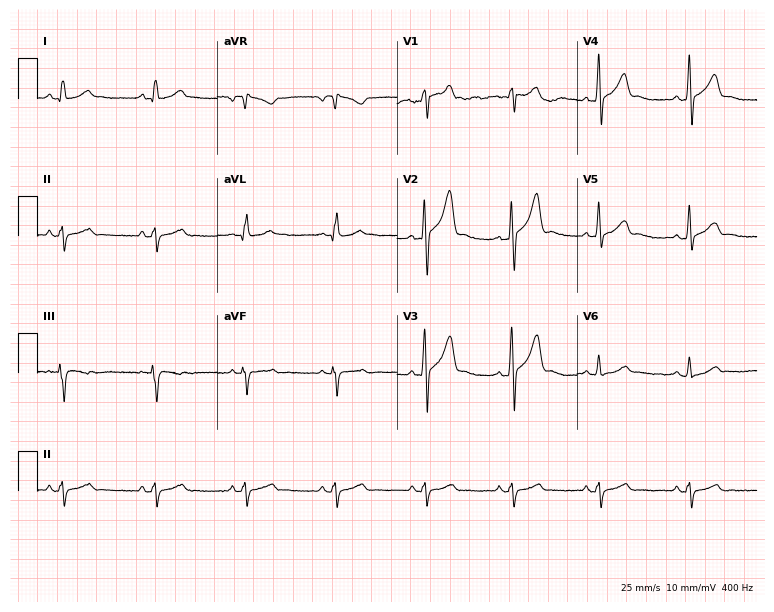
Standard 12-lead ECG recorded from a male patient, 28 years old (7.3-second recording at 400 Hz). None of these six findings is recorded: first-degree AV block, right bundle branch block (RBBB), left bundle branch block (LBBB), sinus bradycardia, atrial fibrillation (AF), sinus tachycardia. Only these six findings were labelled.